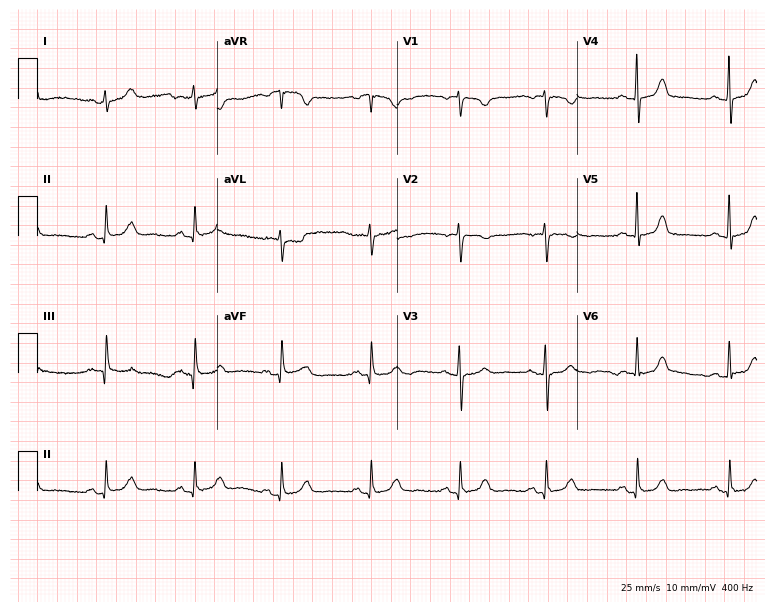
Electrocardiogram (7.3-second recording at 400 Hz), a female, 72 years old. Overall reading on record: normal ECG.